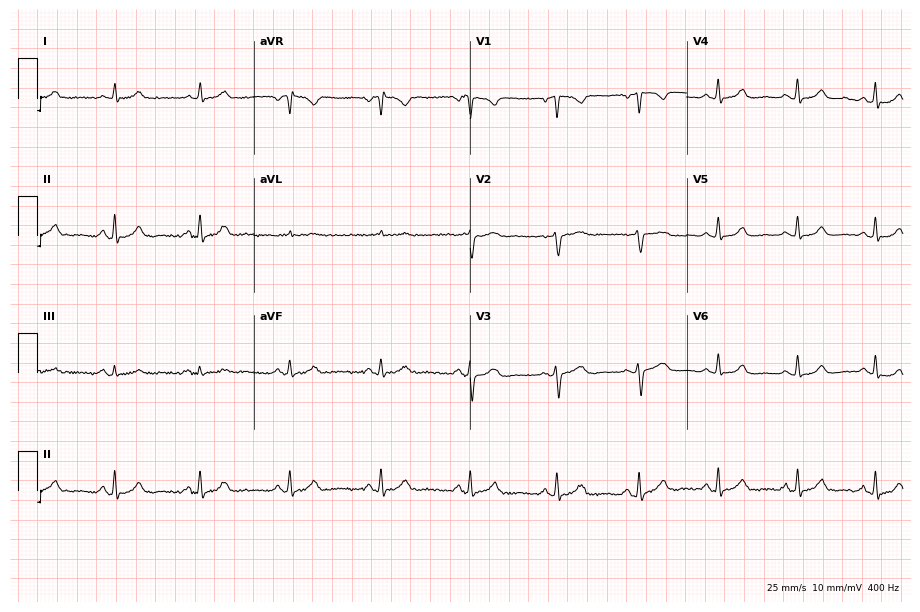
ECG (8.8-second recording at 400 Hz) — a female, 46 years old. Screened for six findings — first-degree AV block, right bundle branch block (RBBB), left bundle branch block (LBBB), sinus bradycardia, atrial fibrillation (AF), sinus tachycardia — none is recorded.